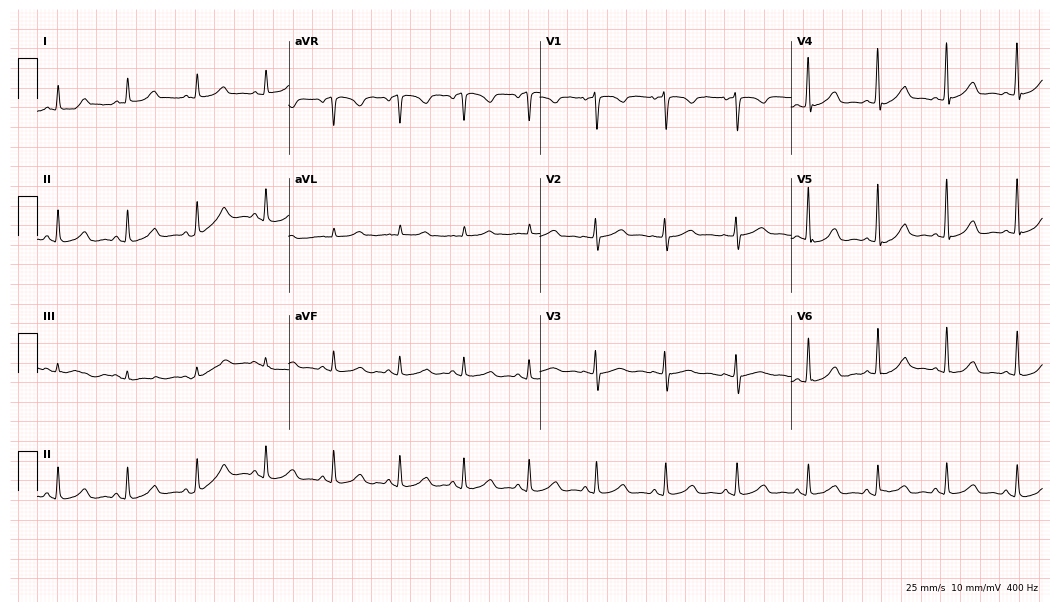
12-lead ECG from a 40-year-old female patient. Screened for six findings — first-degree AV block, right bundle branch block, left bundle branch block, sinus bradycardia, atrial fibrillation, sinus tachycardia — none is recorded.